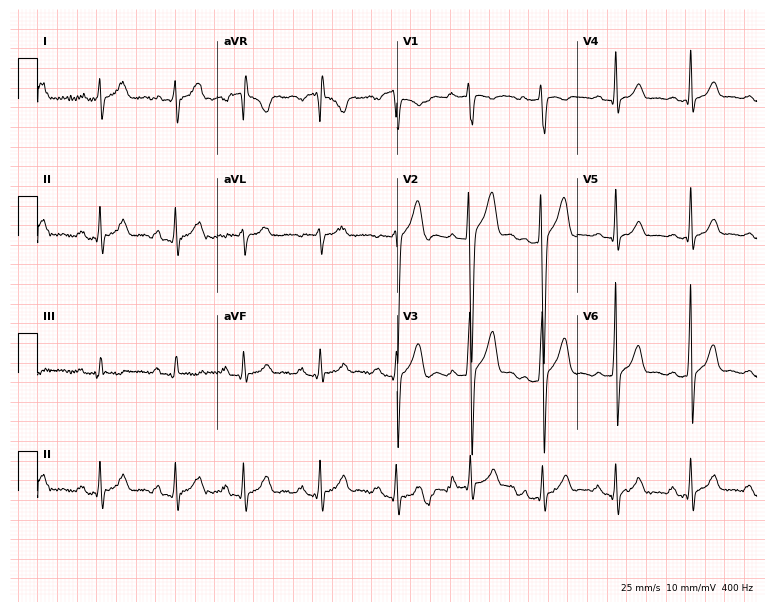
Standard 12-lead ECG recorded from a male patient, 25 years old (7.3-second recording at 400 Hz). None of these six findings is recorded: first-degree AV block, right bundle branch block, left bundle branch block, sinus bradycardia, atrial fibrillation, sinus tachycardia.